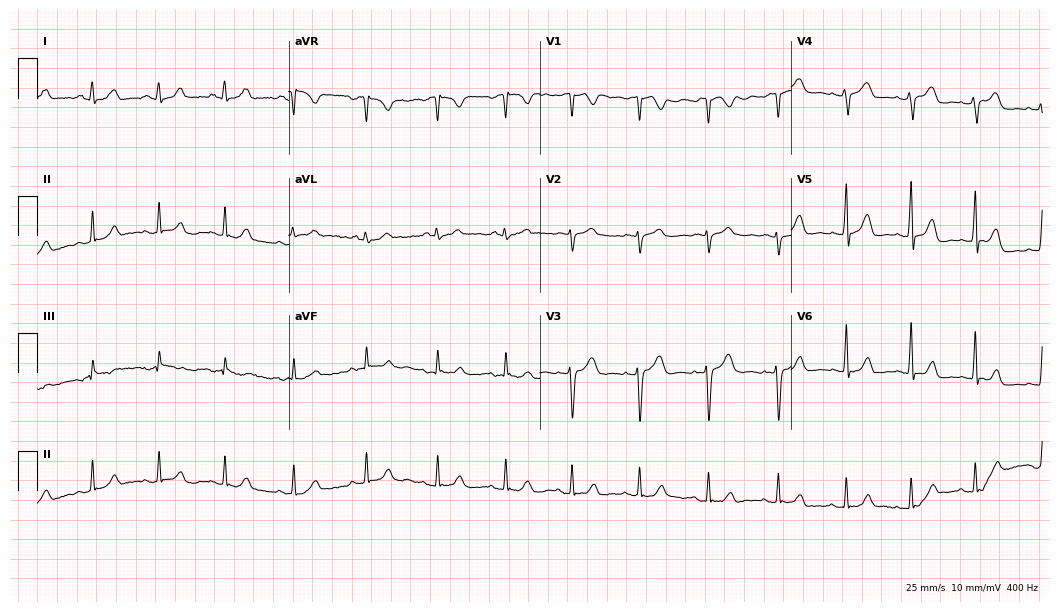
Resting 12-lead electrocardiogram. Patient: a woman, 53 years old. Read as a normal ECG.